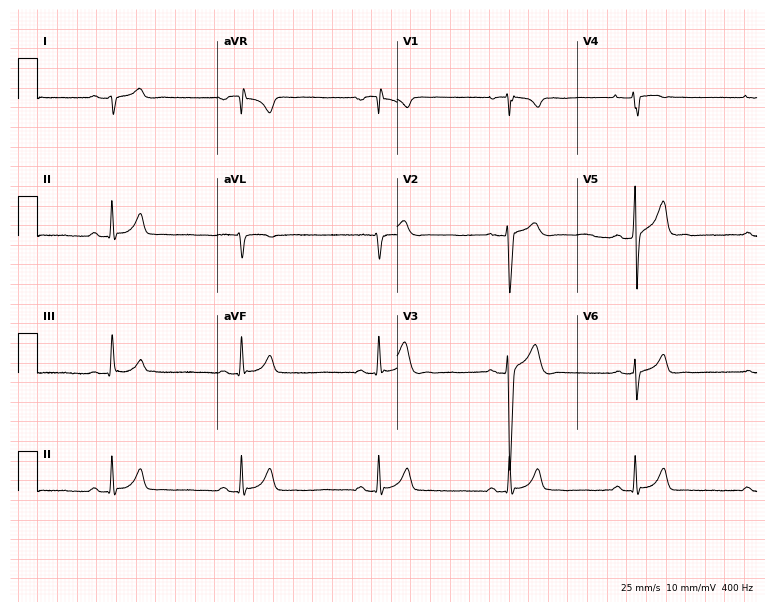
Electrocardiogram (7.3-second recording at 400 Hz), a 25-year-old man. Interpretation includes sinus bradycardia (a sinus rate of 50 beats per minute or less).